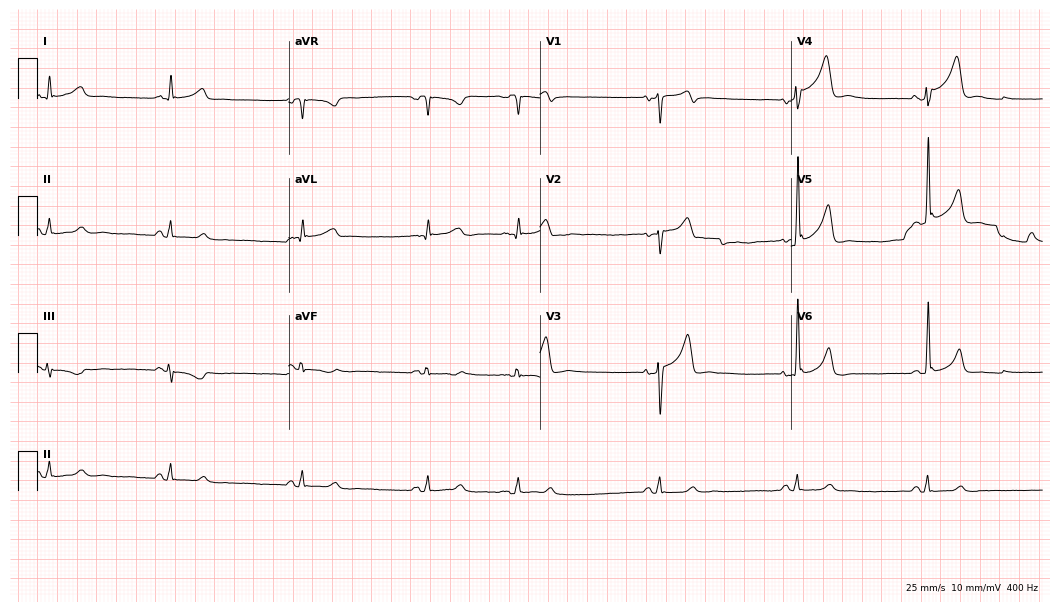
ECG (10.2-second recording at 400 Hz) — a male patient, 63 years old. Findings include sinus bradycardia (a sinus rate of 50 beats per minute or less).